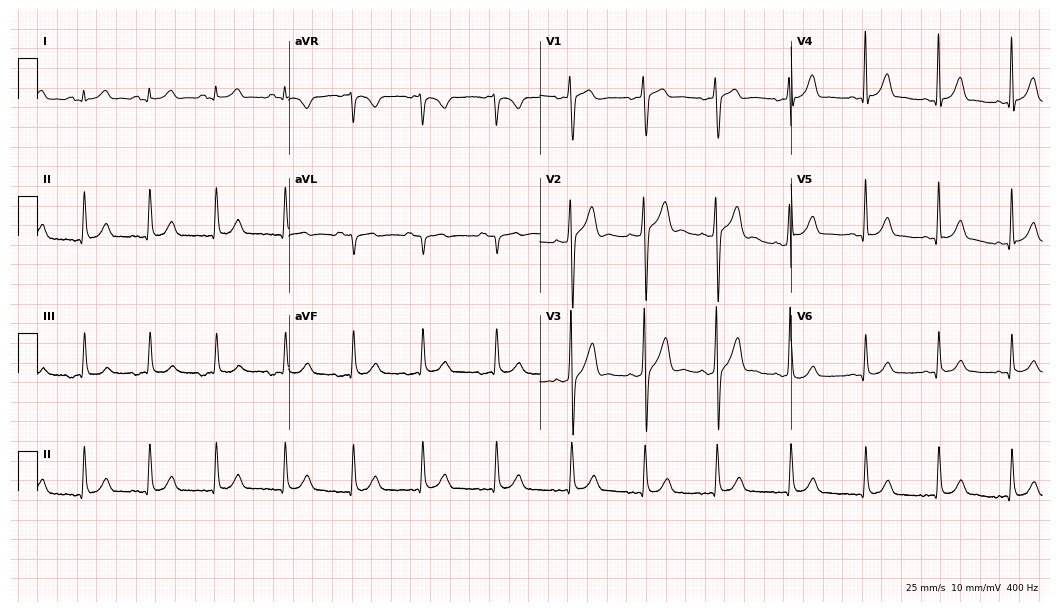
12-lead ECG from a man, 20 years old. Recorded interpretation: within normal limits.